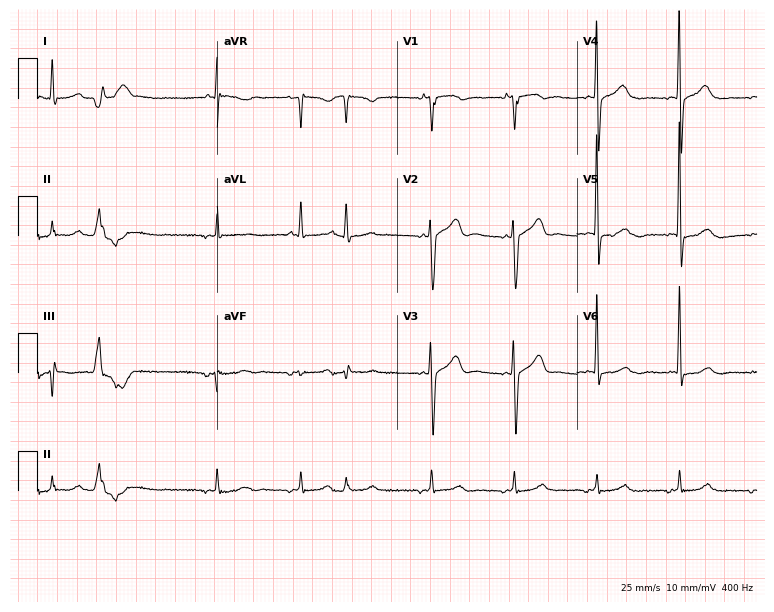
12-lead ECG from an 84-year-old man. No first-degree AV block, right bundle branch block, left bundle branch block, sinus bradycardia, atrial fibrillation or sinus tachycardia recorded for this tracing.